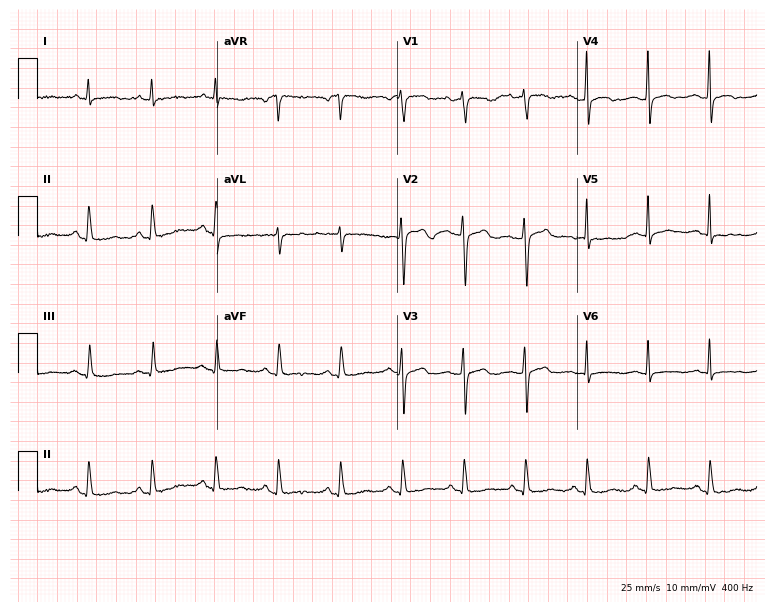
Electrocardiogram (7.3-second recording at 400 Hz), a female patient, 44 years old. Of the six screened findings (first-degree AV block, right bundle branch block, left bundle branch block, sinus bradycardia, atrial fibrillation, sinus tachycardia), none is recorded. Other findings, if any, are not listed.